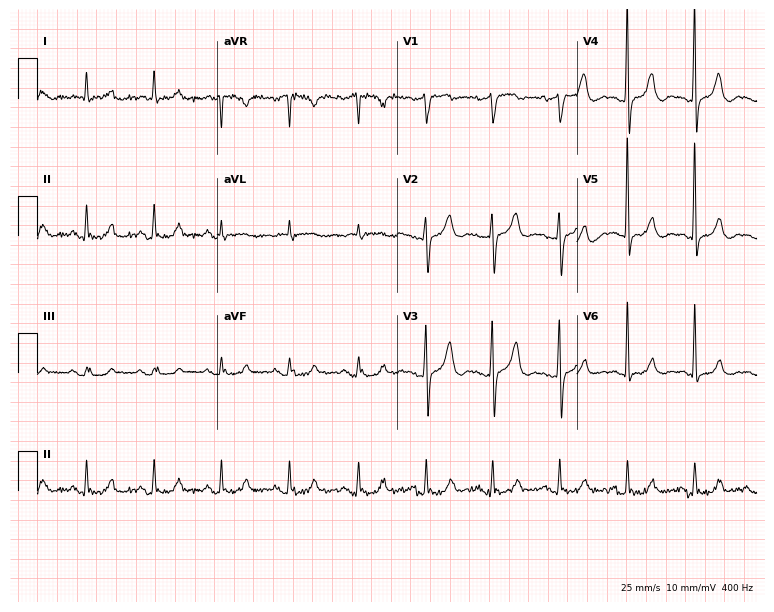
Standard 12-lead ECG recorded from a male, 84 years old (7.3-second recording at 400 Hz). Read as a normal ECG.